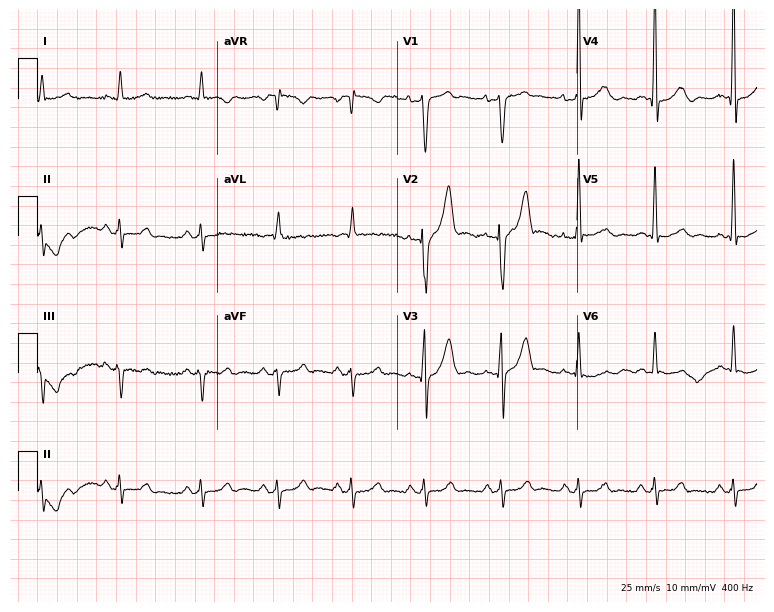
Standard 12-lead ECG recorded from a male, 49 years old. None of these six findings is recorded: first-degree AV block, right bundle branch block, left bundle branch block, sinus bradycardia, atrial fibrillation, sinus tachycardia. Findings outside these six are not listed.